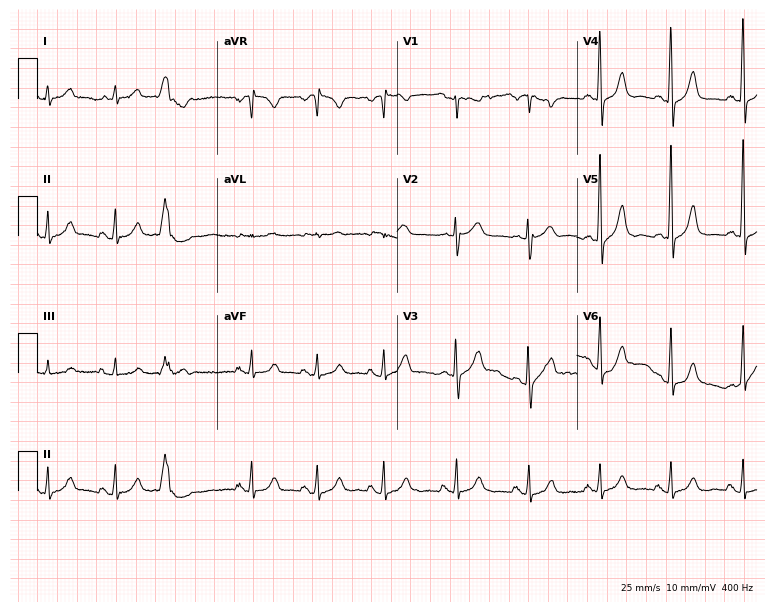
12-lead ECG from a woman, 77 years old. Recorded interpretation: within normal limits.